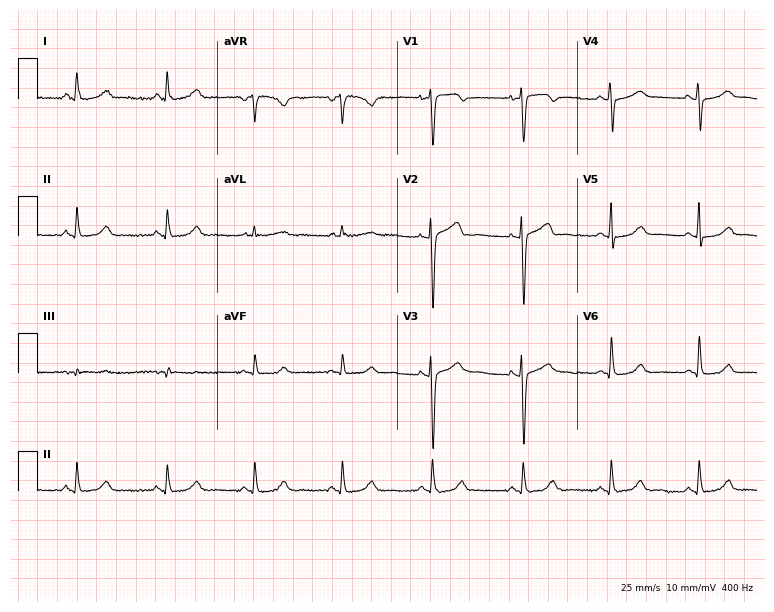
ECG (7.3-second recording at 400 Hz) — a female patient, 50 years old. Screened for six findings — first-degree AV block, right bundle branch block (RBBB), left bundle branch block (LBBB), sinus bradycardia, atrial fibrillation (AF), sinus tachycardia — none is recorded.